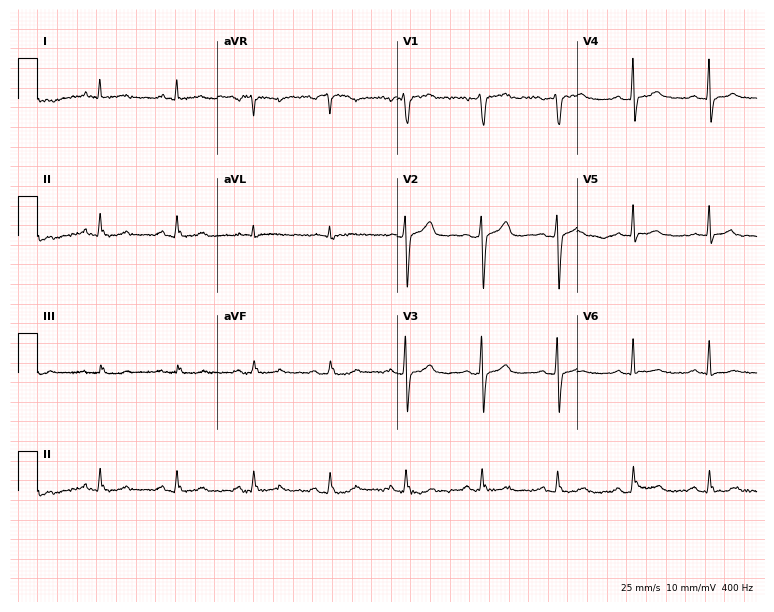
Electrocardiogram (7.3-second recording at 400 Hz), a 74-year-old male. Of the six screened findings (first-degree AV block, right bundle branch block, left bundle branch block, sinus bradycardia, atrial fibrillation, sinus tachycardia), none is recorded.